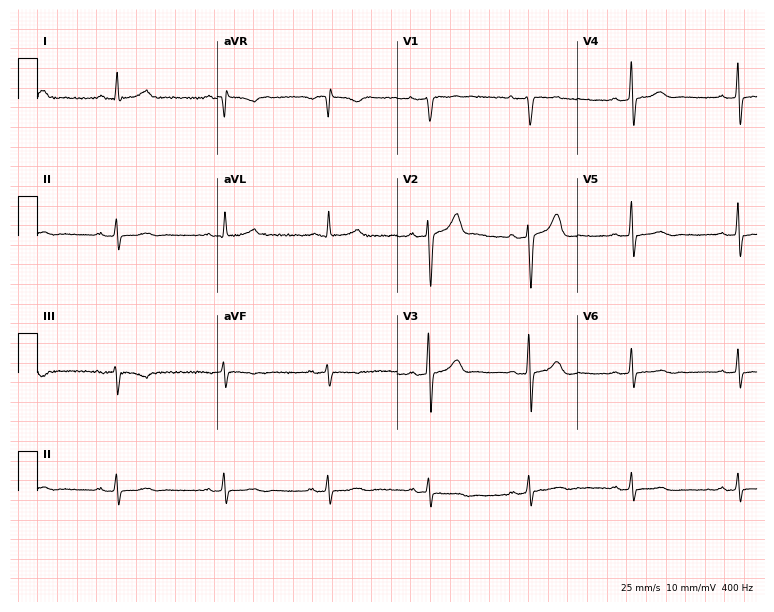
Electrocardiogram (7.3-second recording at 400 Hz), a male, 57 years old. Of the six screened findings (first-degree AV block, right bundle branch block (RBBB), left bundle branch block (LBBB), sinus bradycardia, atrial fibrillation (AF), sinus tachycardia), none is recorded.